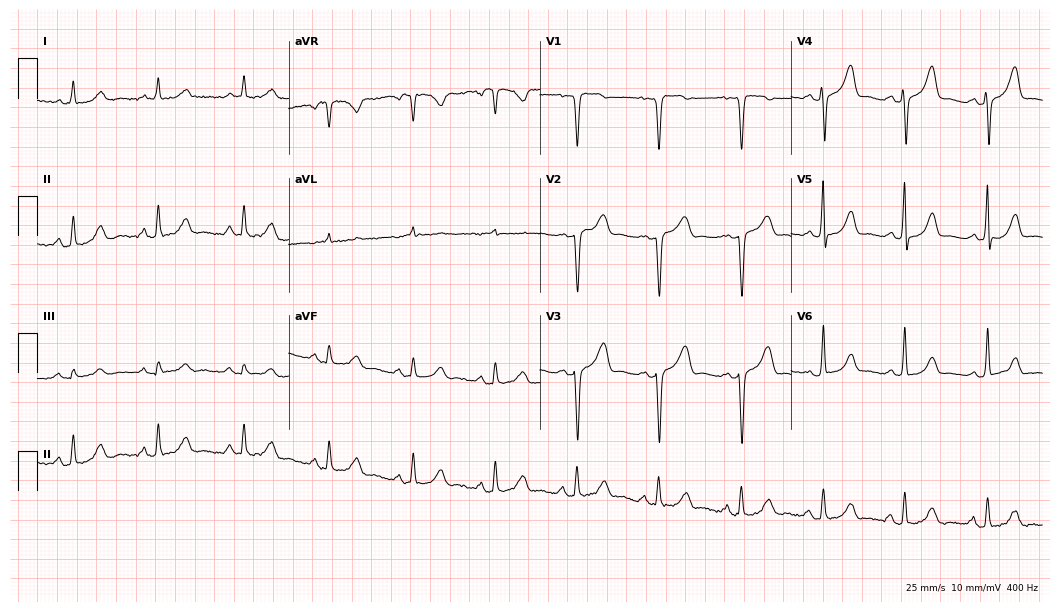
12-lead ECG from a 51-year-old female (10.2-second recording at 400 Hz). No first-degree AV block, right bundle branch block (RBBB), left bundle branch block (LBBB), sinus bradycardia, atrial fibrillation (AF) or sinus tachycardia recorded for this tracing. Only these six findings were labelled.